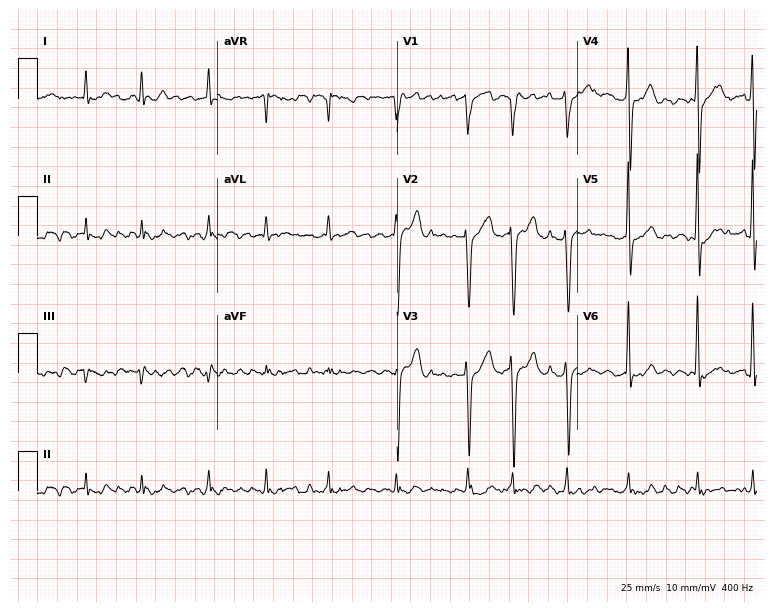
Electrocardiogram (7.3-second recording at 400 Hz), a 78-year-old male patient. Interpretation includes atrial fibrillation (AF).